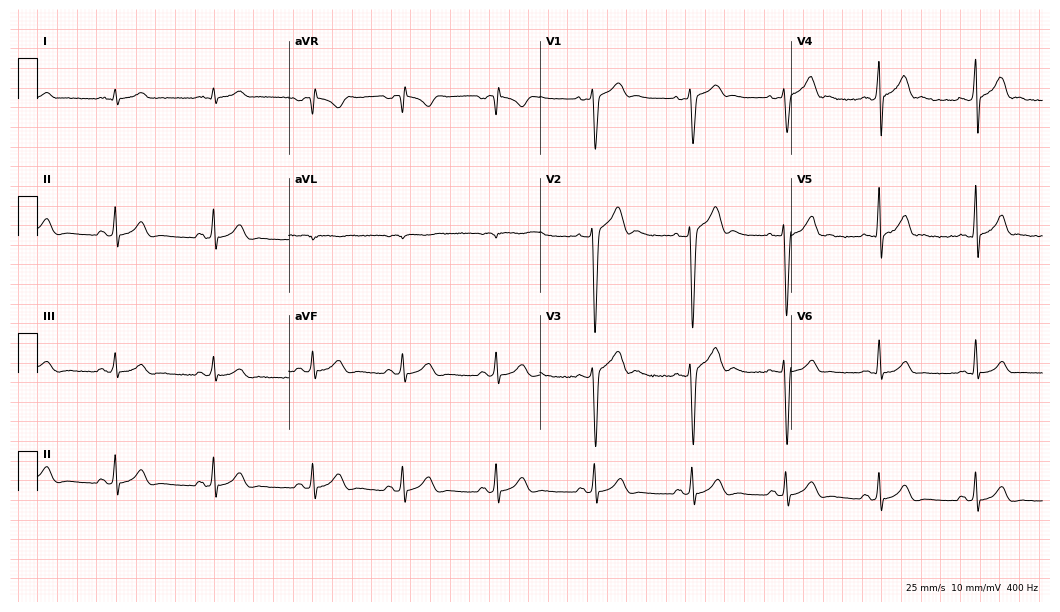
12-lead ECG (10.2-second recording at 400 Hz) from a man, 19 years old. Labelled as a normal ECG.